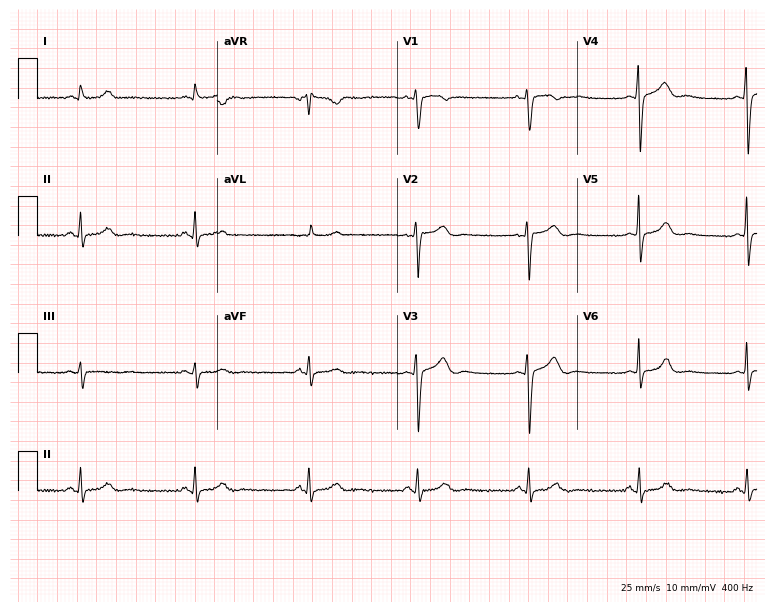
12-lead ECG from a woman, 50 years old. No first-degree AV block, right bundle branch block, left bundle branch block, sinus bradycardia, atrial fibrillation or sinus tachycardia recorded for this tracing.